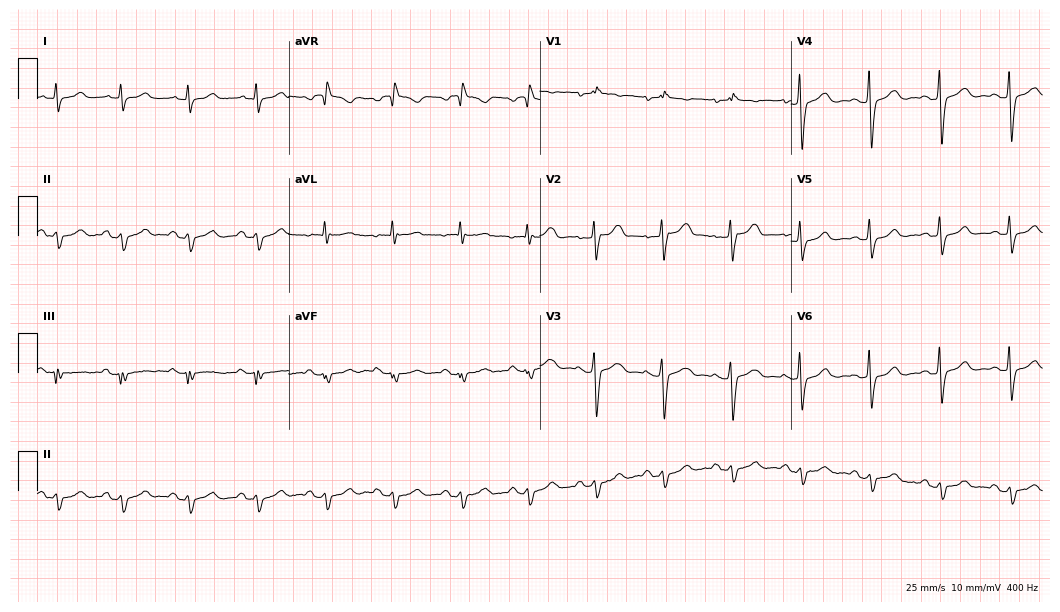
Electrocardiogram, a female patient, 56 years old. Of the six screened findings (first-degree AV block, right bundle branch block, left bundle branch block, sinus bradycardia, atrial fibrillation, sinus tachycardia), none is recorded. Other findings, if any, are not listed.